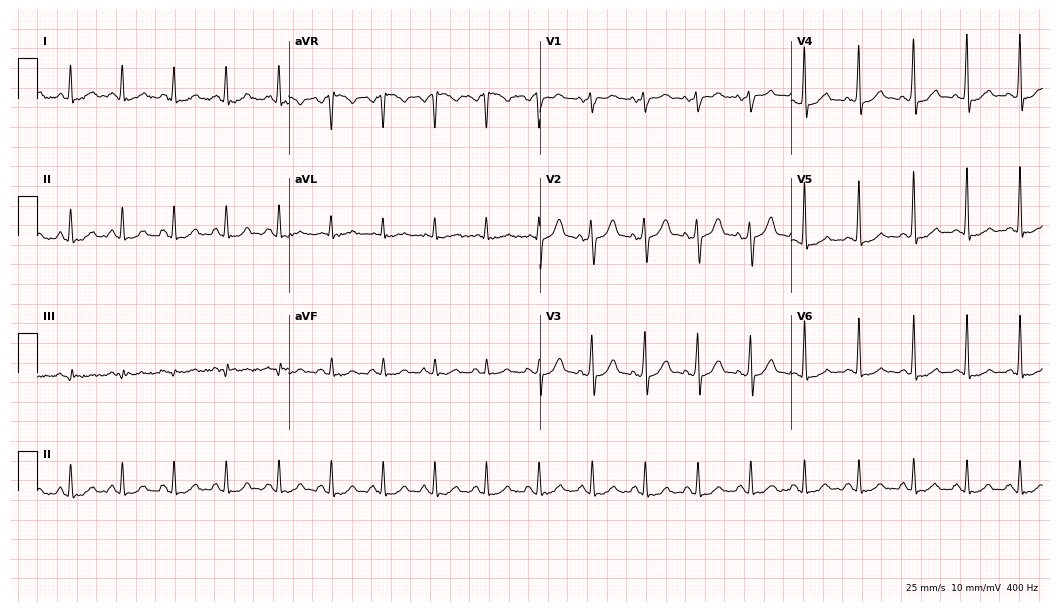
Resting 12-lead electrocardiogram. Patient: a 48-year-old male. None of these six findings is recorded: first-degree AV block, right bundle branch block, left bundle branch block, sinus bradycardia, atrial fibrillation, sinus tachycardia.